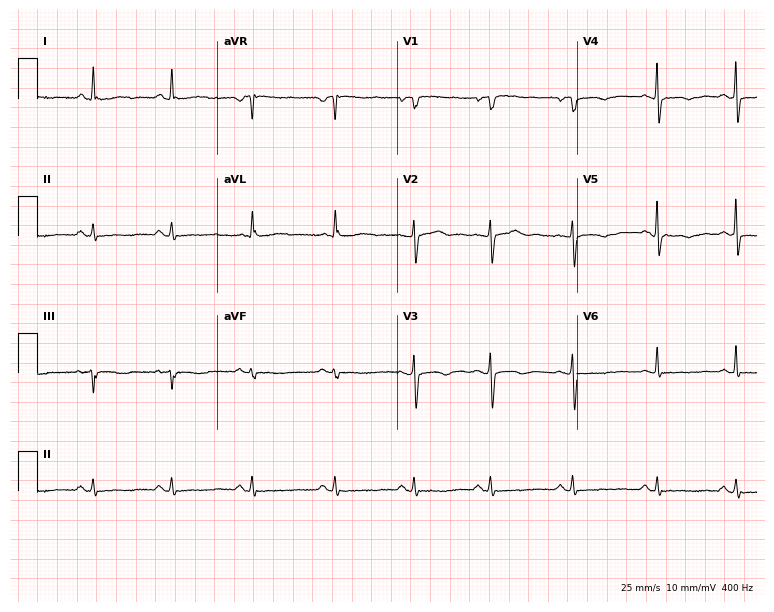
12-lead ECG from a 52-year-old female patient. No first-degree AV block, right bundle branch block, left bundle branch block, sinus bradycardia, atrial fibrillation or sinus tachycardia recorded for this tracing. Other findings, if any, are not listed.